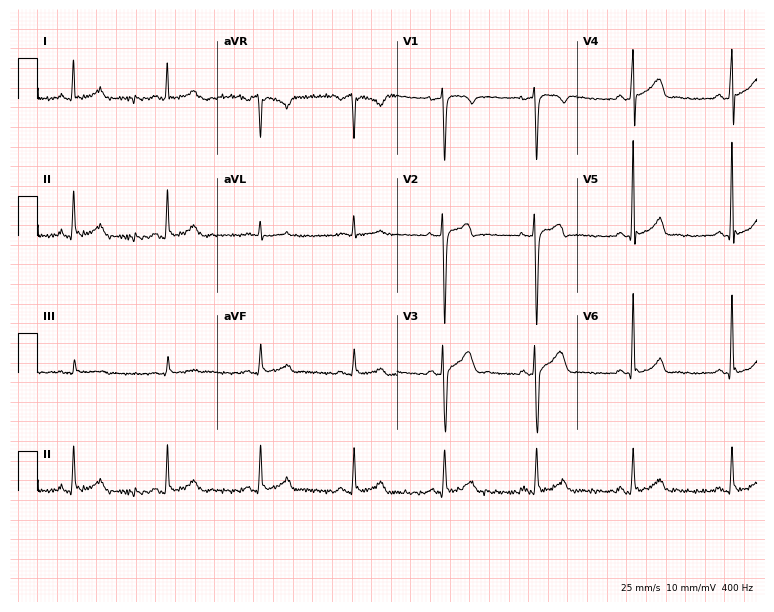
12-lead ECG from a male, 34 years old (7.3-second recording at 400 Hz). Recorded interpretation: within normal limits.